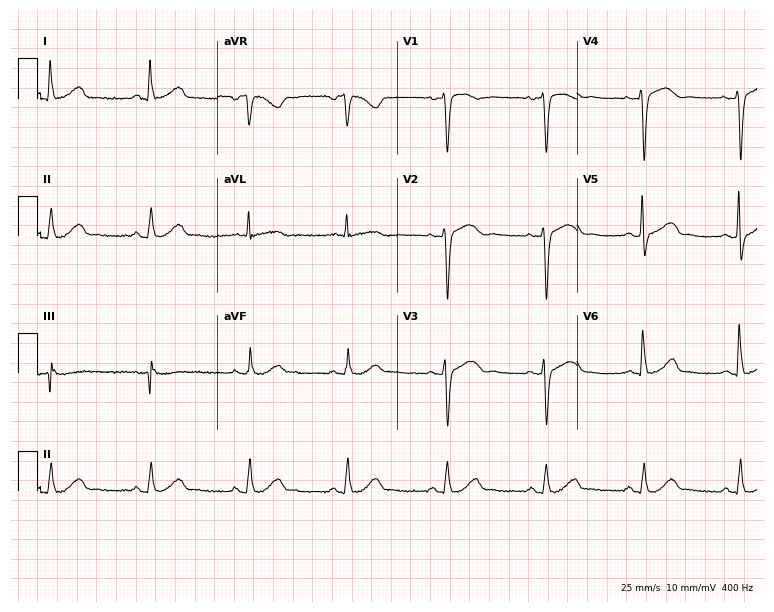
ECG (7.3-second recording at 400 Hz) — a female, 56 years old. Labelled as a normal ECG.